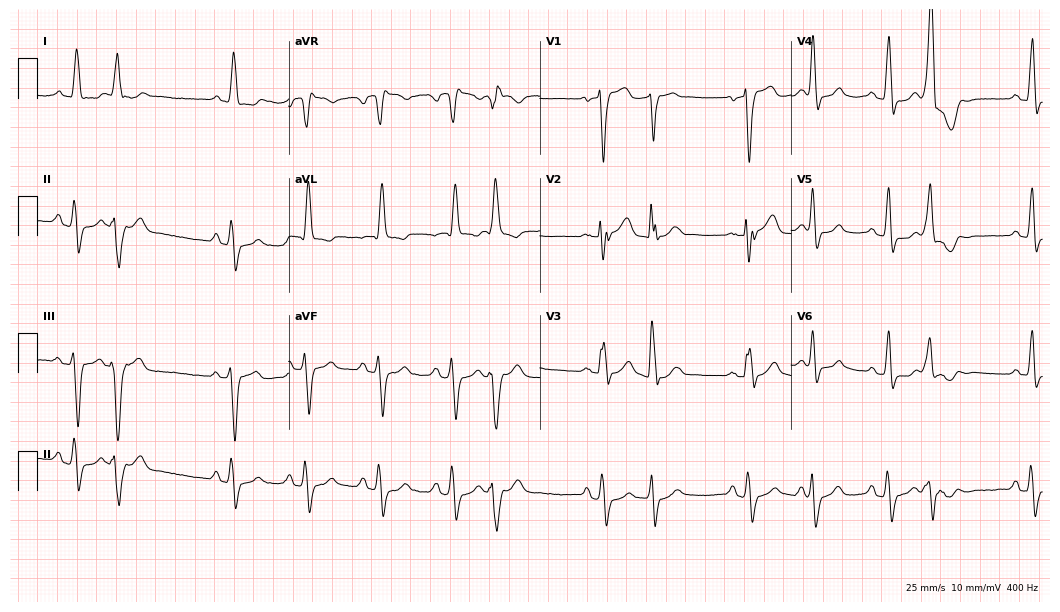
Electrocardiogram (10.2-second recording at 400 Hz), a 64-year-old female patient. Interpretation includes right bundle branch block.